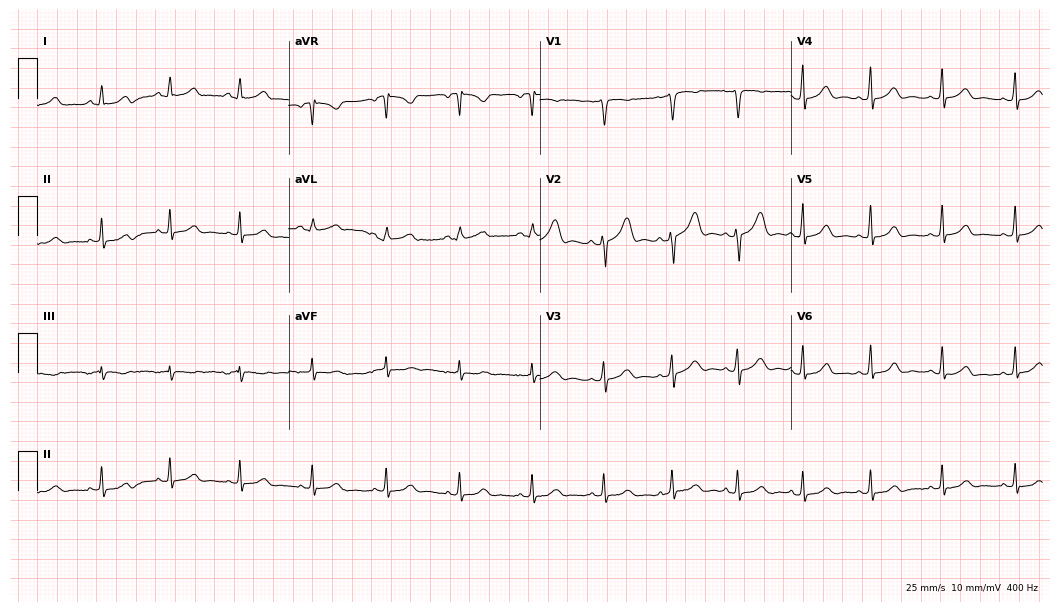
Resting 12-lead electrocardiogram. Patient: a 28-year-old male. Read as a normal ECG.